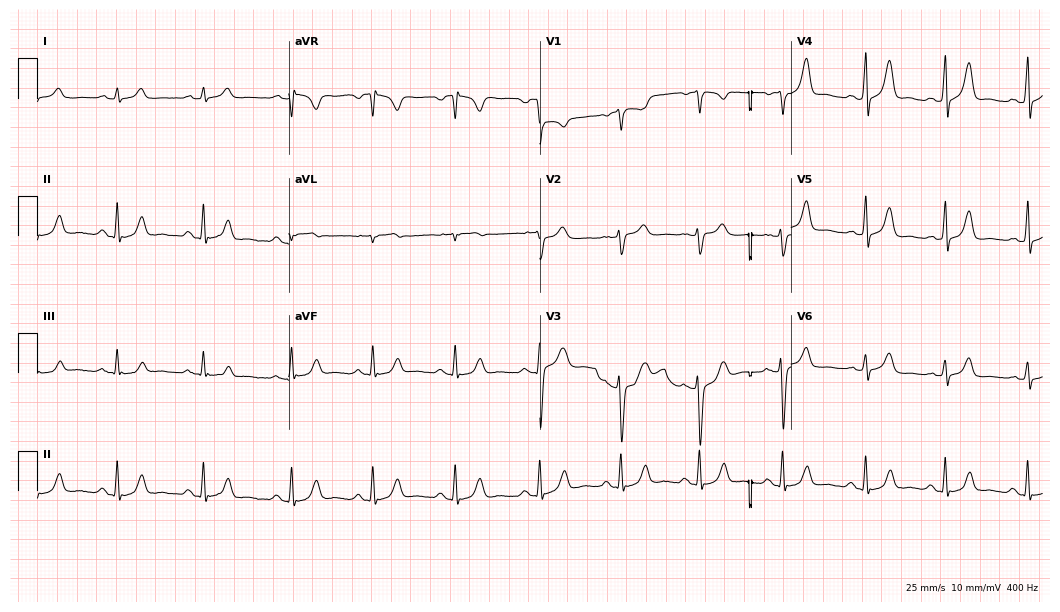
Resting 12-lead electrocardiogram. Patient: a female, 24 years old. Read as a normal ECG.